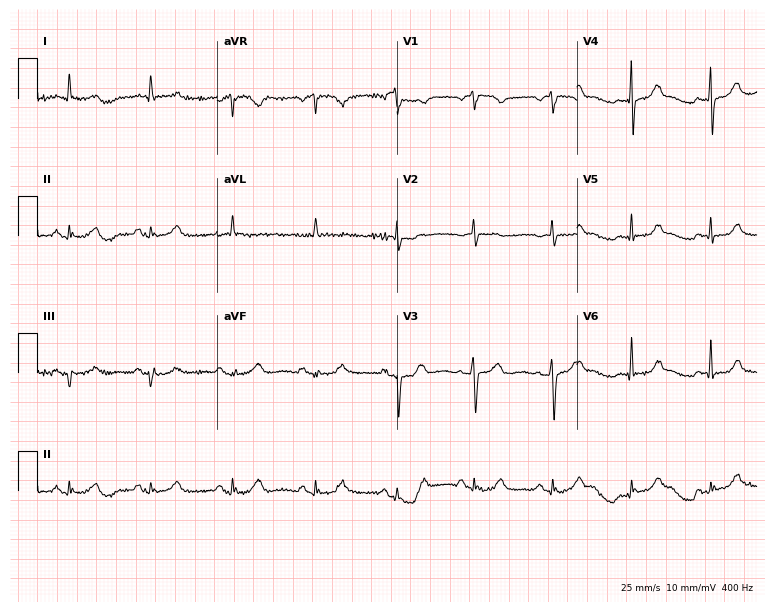
Electrocardiogram (7.3-second recording at 400 Hz), a woman, 70 years old. Overall reading on record: normal ECG.